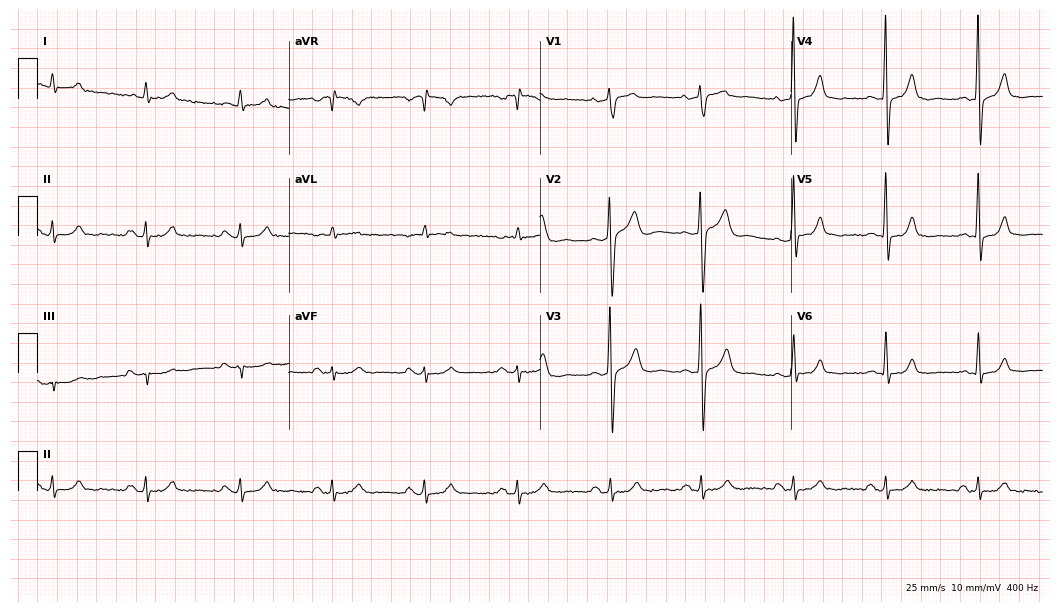
Standard 12-lead ECG recorded from a male patient, 68 years old (10.2-second recording at 400 Hz). Read as a normal ECG.